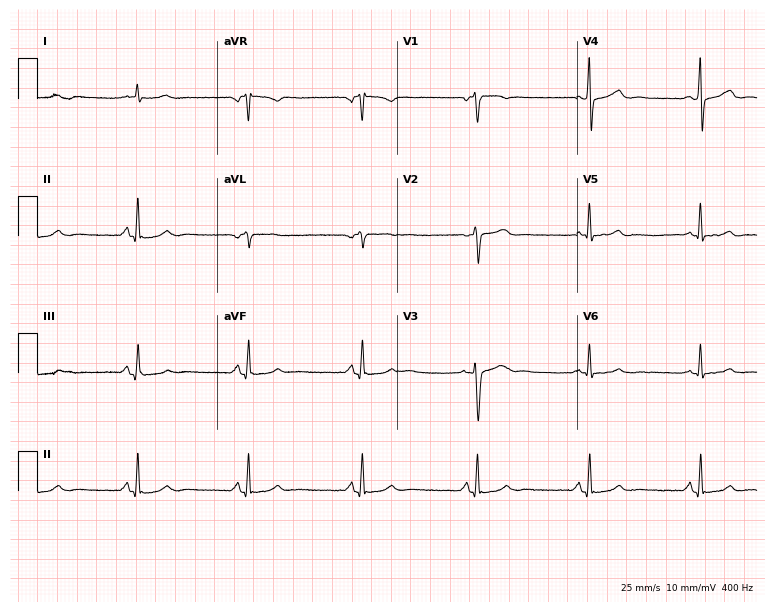
ECG (7.3-second recording at 400 Hz) — a 49-year-old woman. Screened for six findings — first-degree AV block, right bundle branch block (RBBB), left bundle branch block (LBBB), sinus bradycardia, atrial fibrillation (AF), sinus tachycardia — none is recorded.